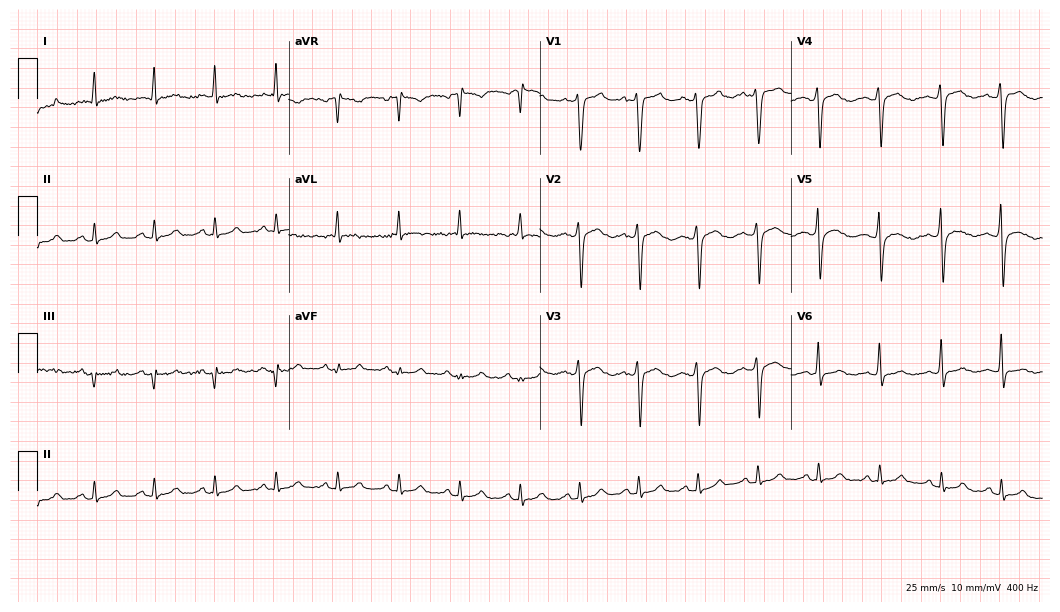
Resting 12-lead electrocardiogram. Patient: a man, 30 years old. None of these six findings is recorded: first-degree AV block, right bundle branch block (RBBB), left bundle branch block (LBBB), sinus bradycardia, atrial fibrillation (AF), sinus tachycardia.